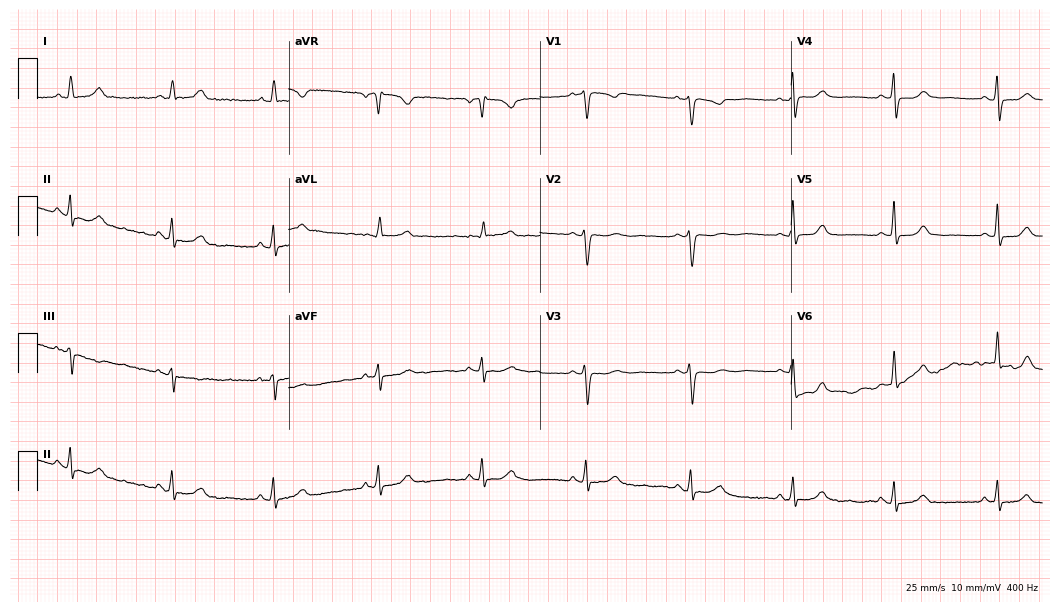
Resting 12-lead electrocardiogram (10.2-second recording at 400 Hz). Patient: a 59-year-old female. None of these six findings is recorded: first-degree AV block, right bundle branch block (RBBB), left bundle branch block (LBBB), sinus bradycardia, atrial fibrillation (AF), sinus tachycardia.